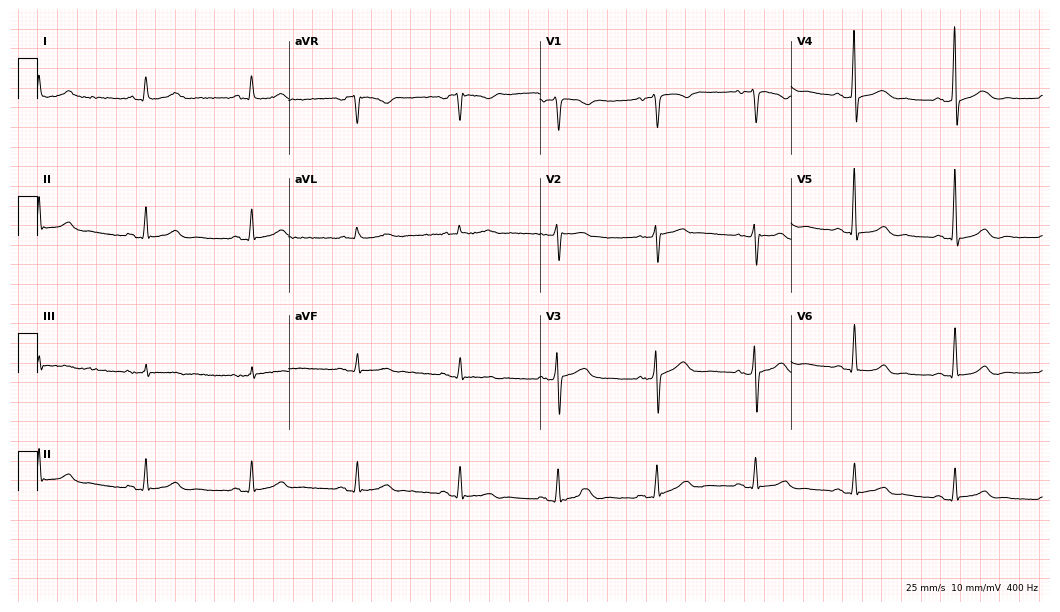
Resting 12-lead electrocardiogram. Patient: a man, 56 years old. Read as a normal ECG.